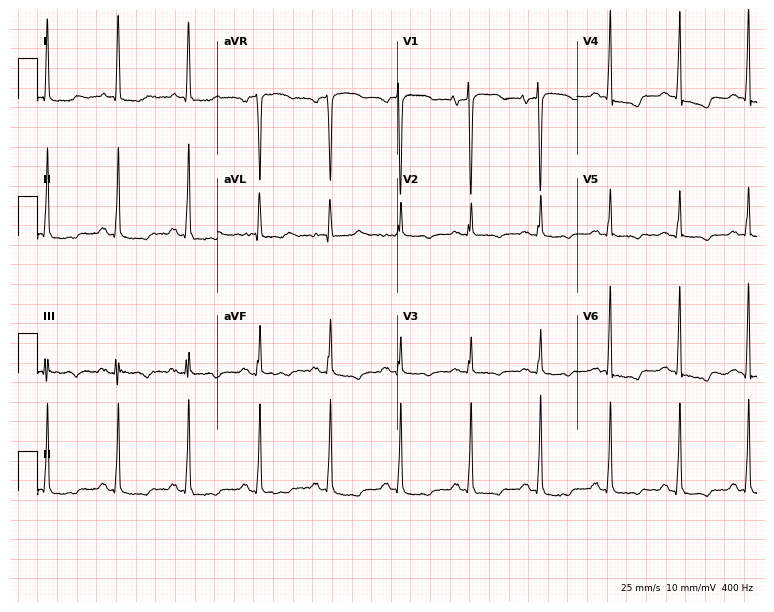
Electrocardiogram (7.3-second recording at 400 Hz), a female patient, 82 years old. Of the six screened findings (first-degree AV block, right bundle branch block, left bundle branch block, sinus bradycardia, atrial fibrillation, sinus tachycardia), none is recorded.